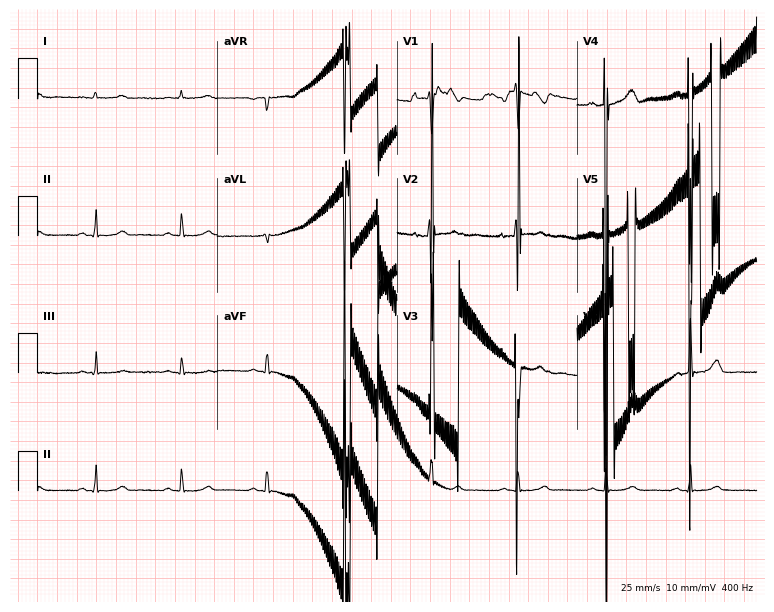
12-lead ECG from a 32-year-old woman (7.3-second recording at 400 Hz). No first-degree AV block, right bundle branch block, left bundle branch block, sinus bradycardia, atrial fibrillation or sinus tachycardia recorded for this tracing.